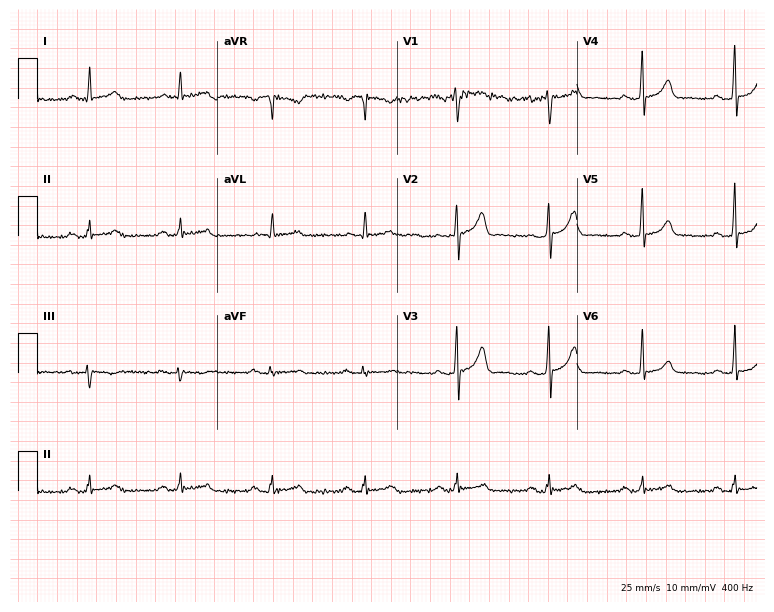
Electrocardiogram (7.3-second recording at 400 Hz), a 57-year-old male patient. Of the six screened findings (first-degree AV block, right bundle branch block, left bundle branch block, sinus bradycardia, atrial fibrillation, sinus tachycardia), none is recorded.